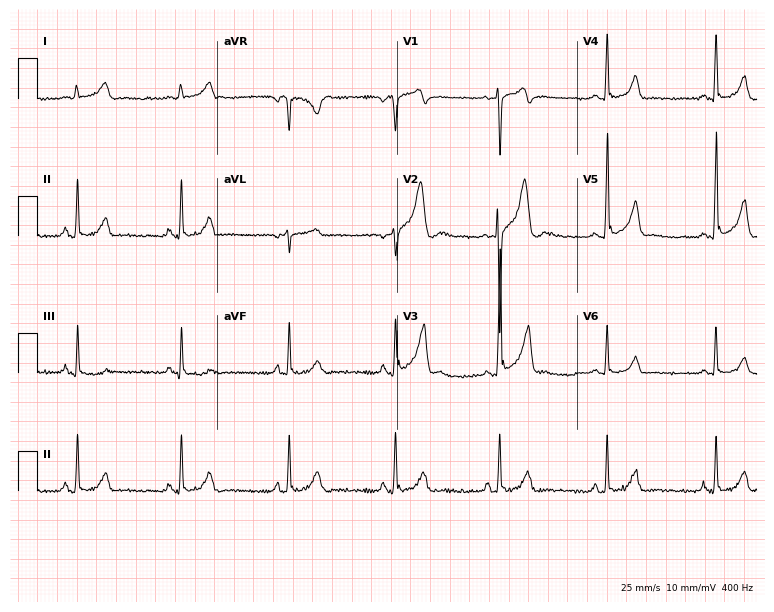
Electrocardiogram (7.3-second recording at 400 Hz), a male, 20 years old. Overall reading on record: normal ECG.